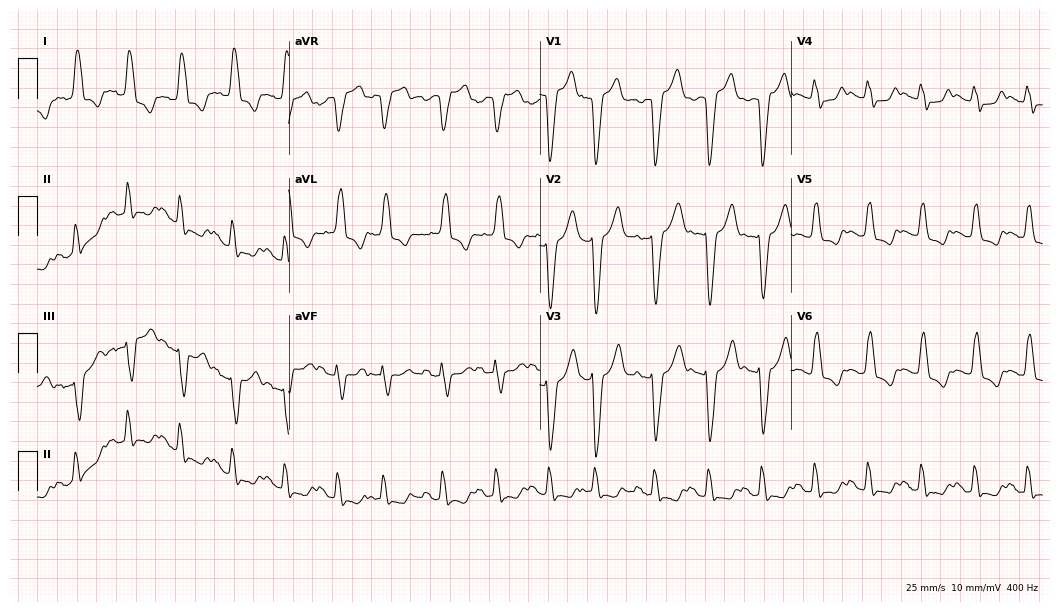
ECG (10.2-second recording at 400 Hz) — a female, 80 years old. Findings include left bundle branch block.